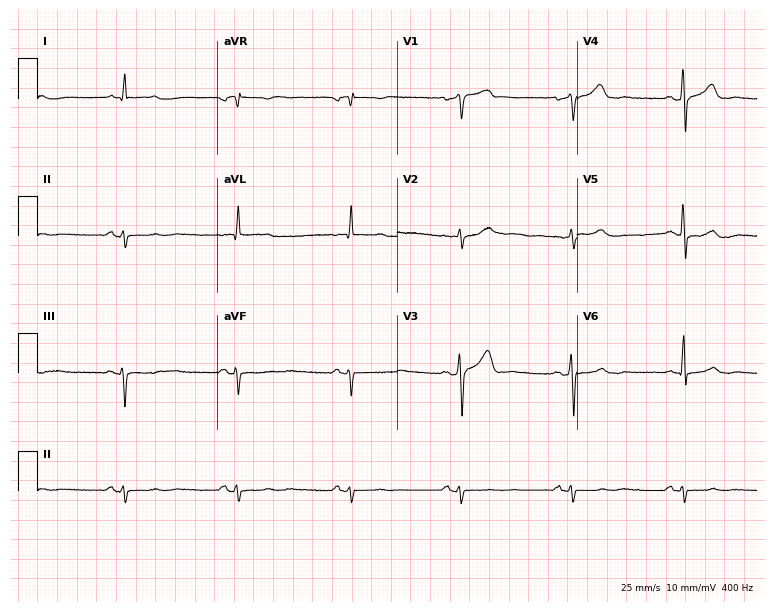
Resting 12-lead electrocardiogram (7.3-second recording at 400 Hz). Patient: a man, 52 years old. None of these six findings is recorded: first-degree AV block, right bundle branch block, left bundle branch block, sinus bradycardia, atrial fibrillation, sinus tachycardia. Findings outside these six are not listed.